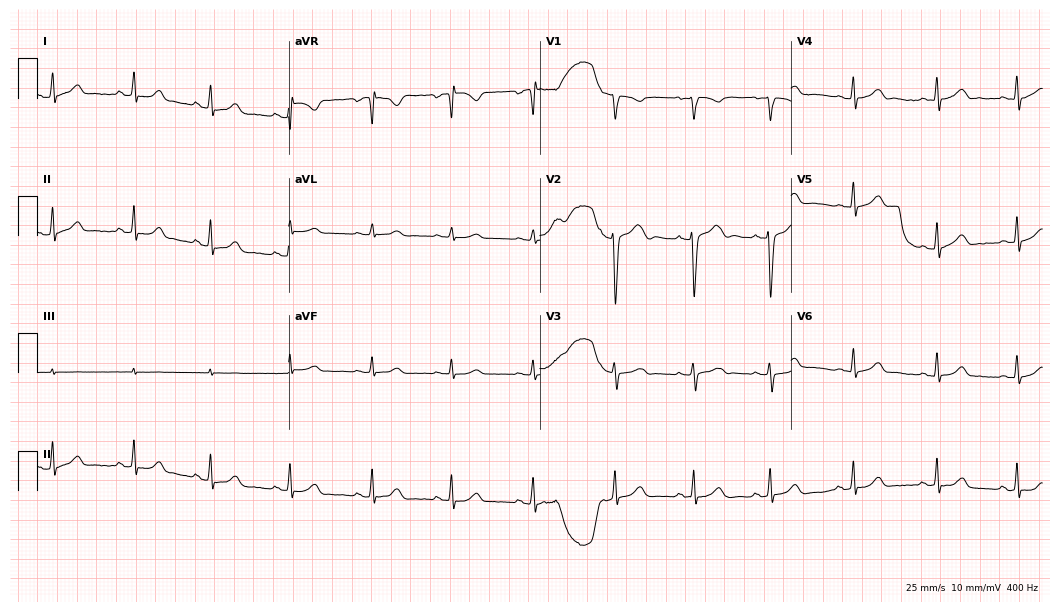
12-lead ECG from a woman, 20 years old. No first-degree AV block, right bundle branch block, left bundle branch block, sinus bradycardia, atrial fibrillation or sinus tachycardia recorded for this tracing. Only these six findings were labelled.